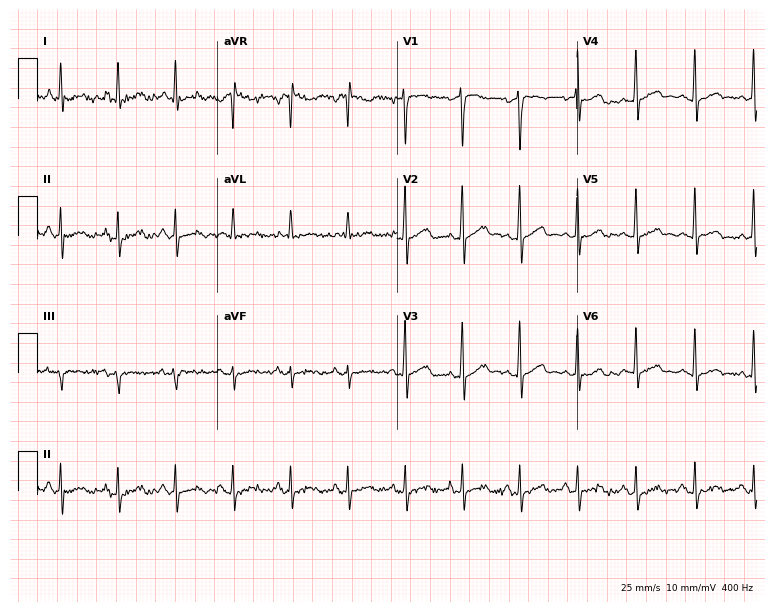
ECG — a male, 60 years old. Findings include sinus tachycardia (a sinus rate of 100 beats per minute or more).